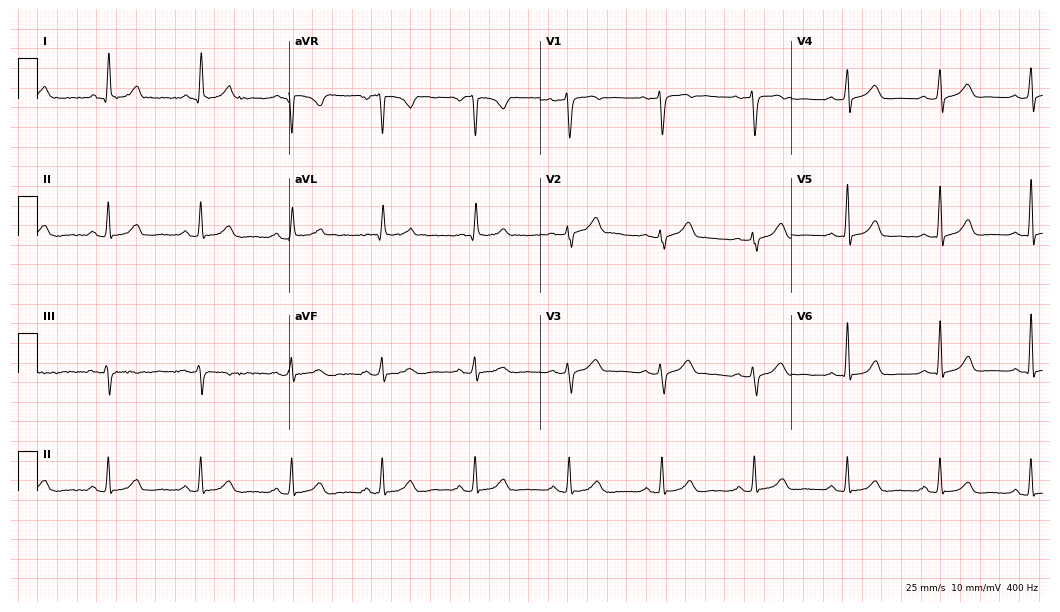
Electrocardiogram, an 82-year-old female. Overall reading on record: normal ECG.